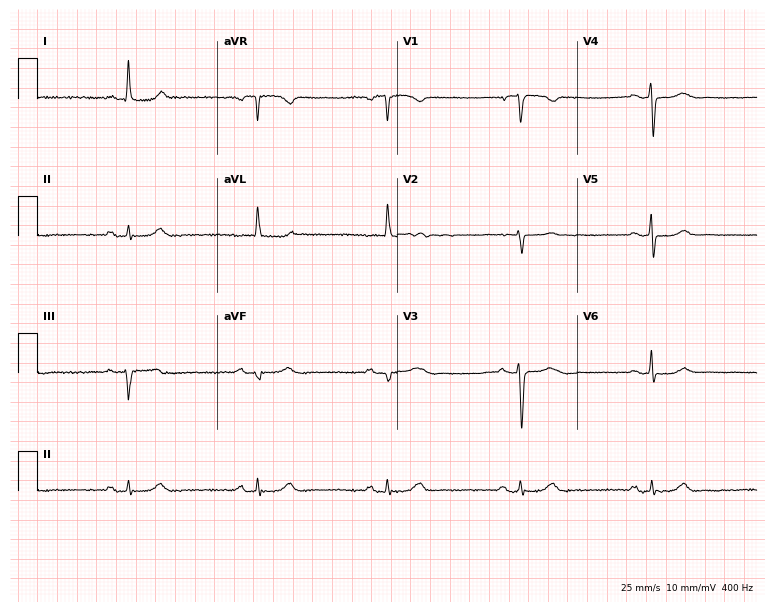
12-lead ECG from a female patient, 68 years old. Shows sinus bradycardia (a sinus rate of 50 beats per minute or less).